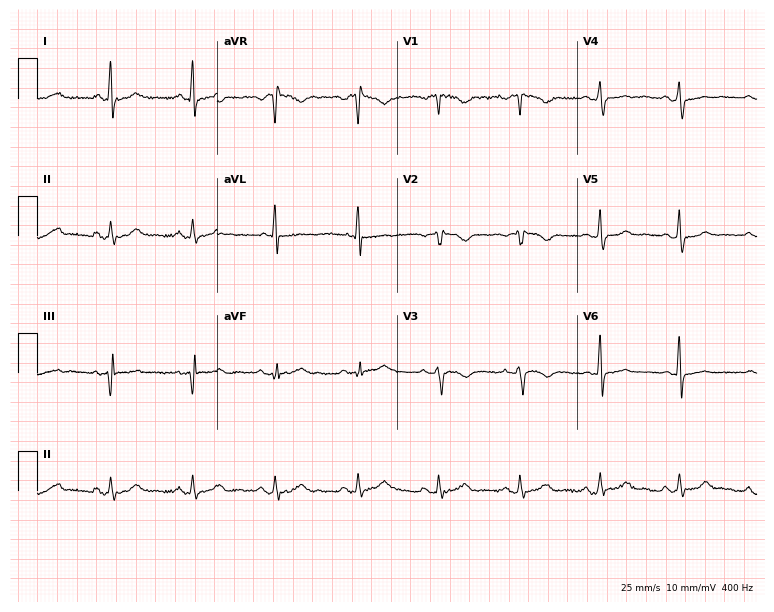
Electrocardiogram, a 31-year-old female. Of the six screened findings (first-degree AV block, right bundle branch block (RBBB), left bundle branch block (LBBB), sinus bradycardia, atrial fibrillation (AF), sinus tachycardia), none is recorded. Only these six findings were labelled.